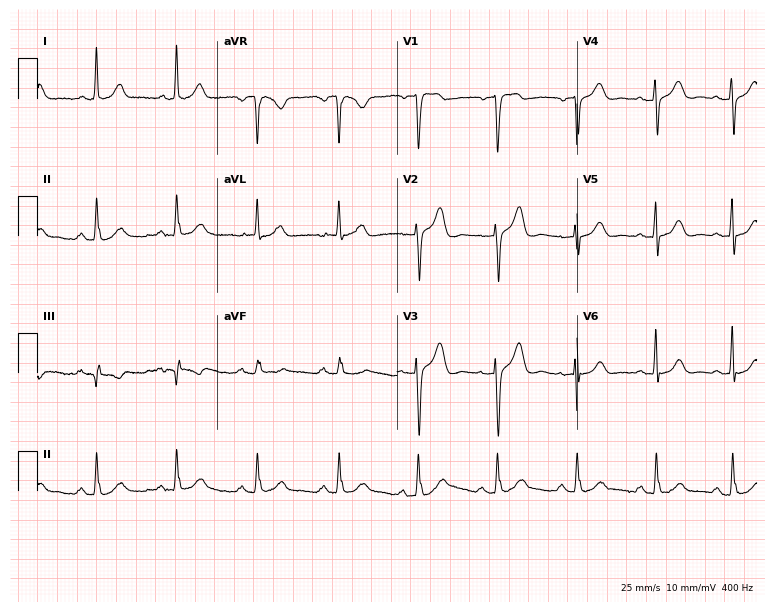
Standard 12-lead ECG recorded from a 74-year-old female patient (7.3-second recording at 400 Hz). None of these six findings is recorded: first-degree AV block, right bundle branch block (RBBB), left bundle branch block (LBBB), sinus bradycardia, atrial fibrillation (AF), sinus tachycardia.